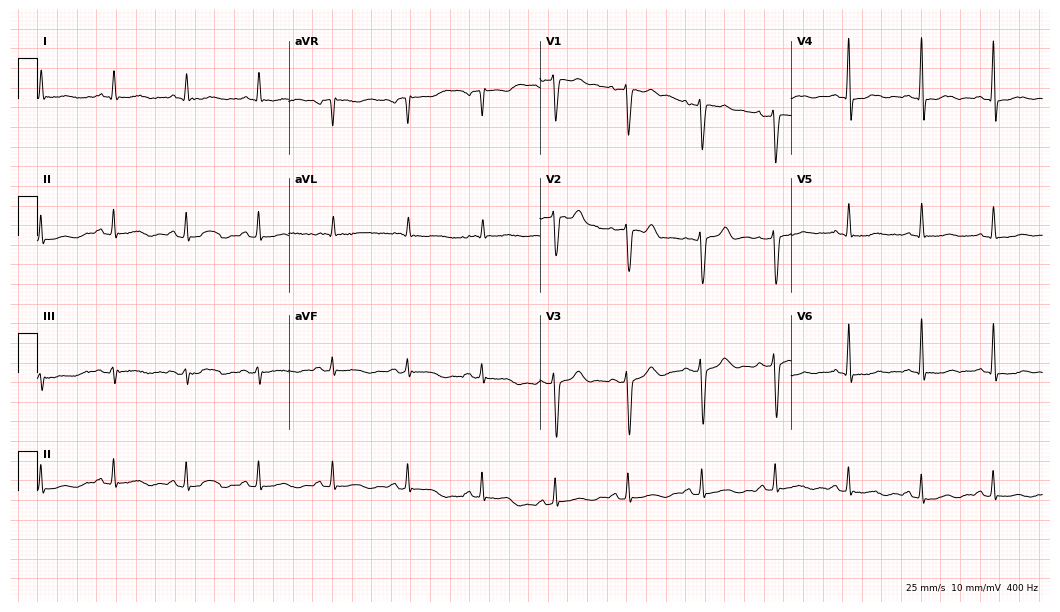
12-lead ECG from a male patient, 72 years old (10.2-second recording at 400 Hz). No first-degree AV block, right bundle branch block, left bundle branch block, sinus bradycardia, atrial fibrillation or sinus tachycardia recorded for this tracing. Only these six findings were labelled.